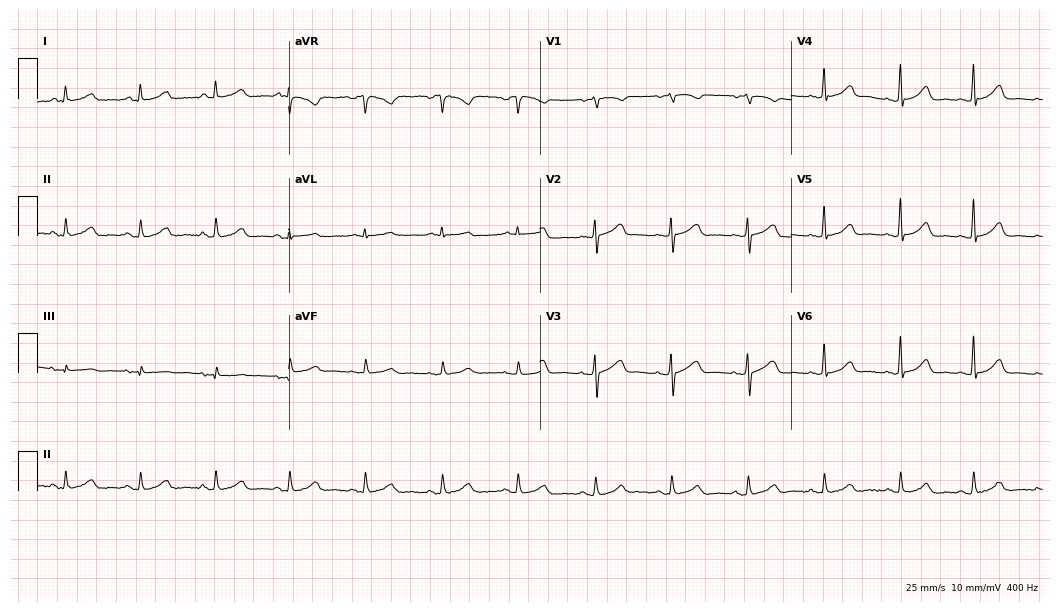
ECG (10.2-second recording at 400 Hz) — a 58-year-old woman. Labelled as a normal ECG.